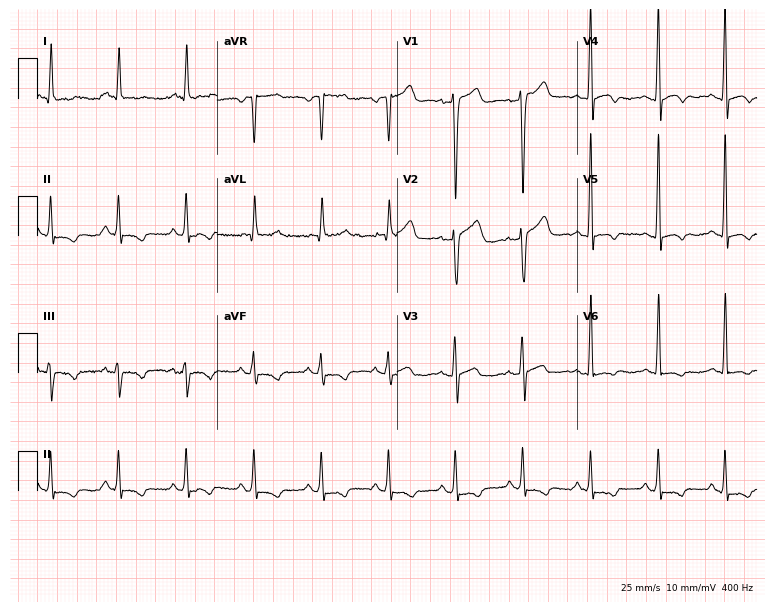
Electrocardiogram (7.3-second recording at 400 Hz), a 54-year-old male patient. Of the six screened findings (first-degree AV block, right bundle branch block, left bundle branch block, sinus bradycardia, atrial fibrillation, sinus tachycardia), none is recorded.